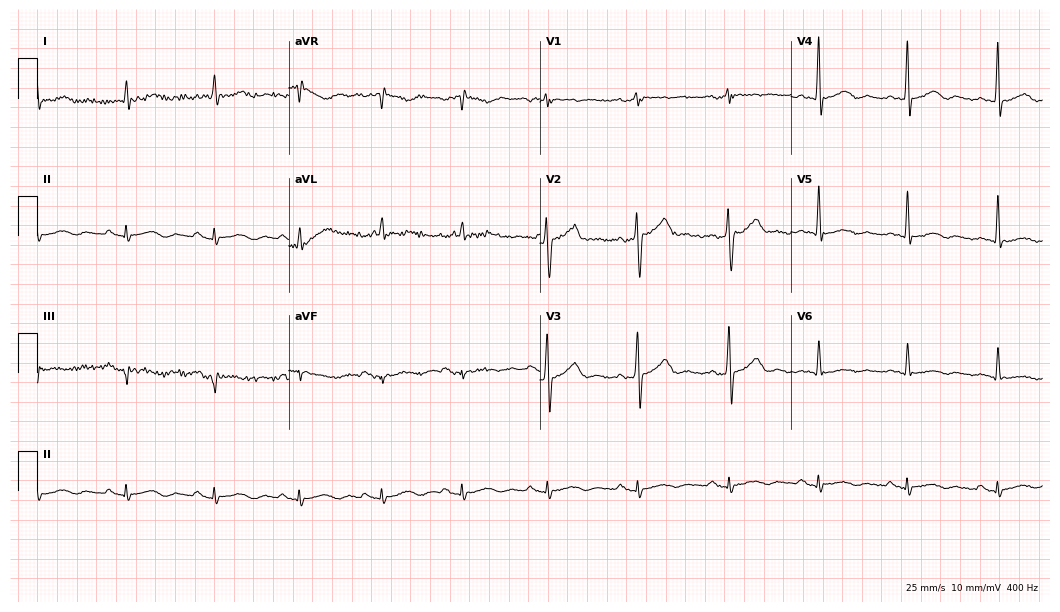
Resting 12-lead electrocardiogram. Patient: a 74-year-old man. Read as a normal ECG.